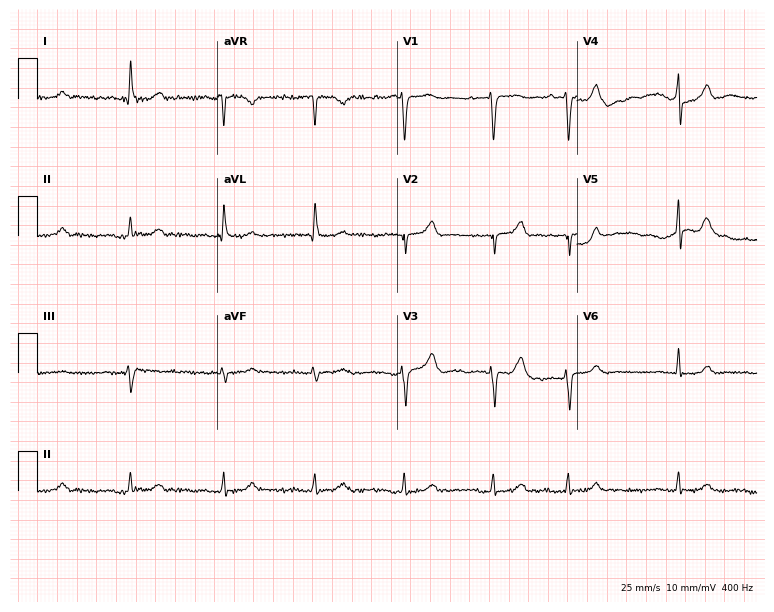
12-lead ECG from a 51-year-old female. No first-degree AV block, right bundle branch block, left bundle branch block, sinus bradycardia, atrial fibrillation or sinus tachycardia recorded for this tracing.